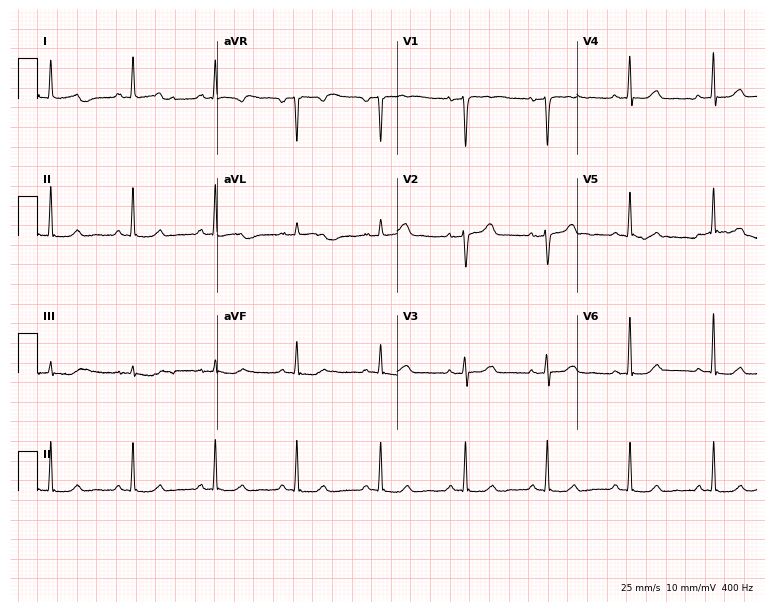
12-lead ECG from a 47-year-old female patient (7.3-second recording at 400 Hz). Recorded interpretation: within normal limits.